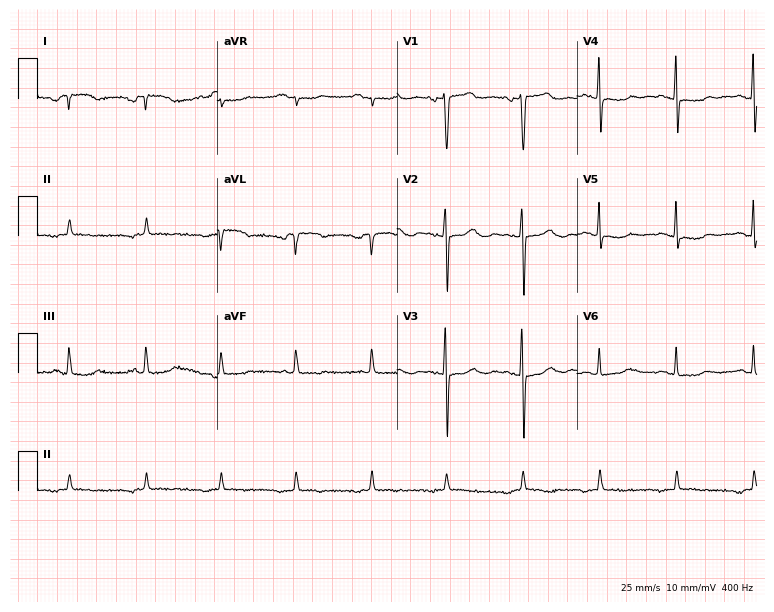
Standard 12-lead ECG recorded from a woman, 77 years old. None of these six findings is recorded: first-degree AV block, right bundle branch block (RBBB), left bundle branch block (LBBB), sinus bradycardia, atrial fibrillation (AF), sinus tachycardia. Other findings, if any, are not listed.